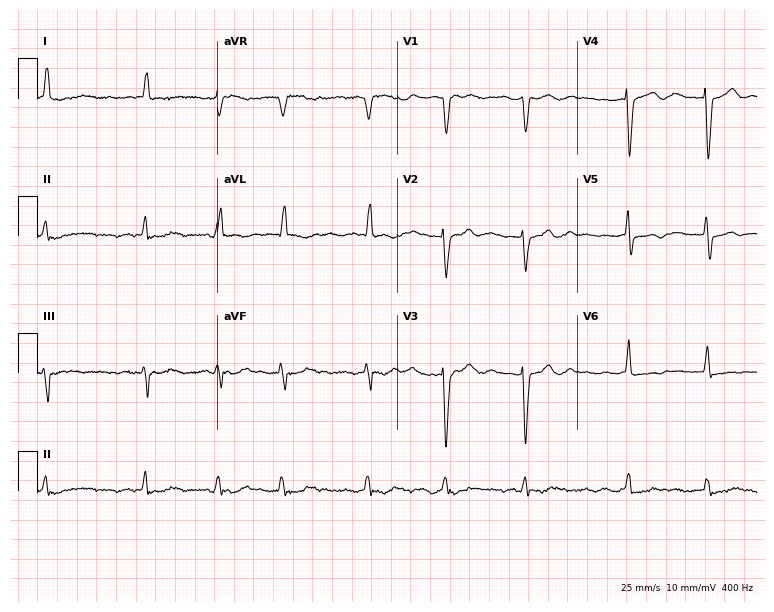
Standard 12-lead ECG recorded from a female patient, 76 years old. The tracing shows atrial fibrillation.